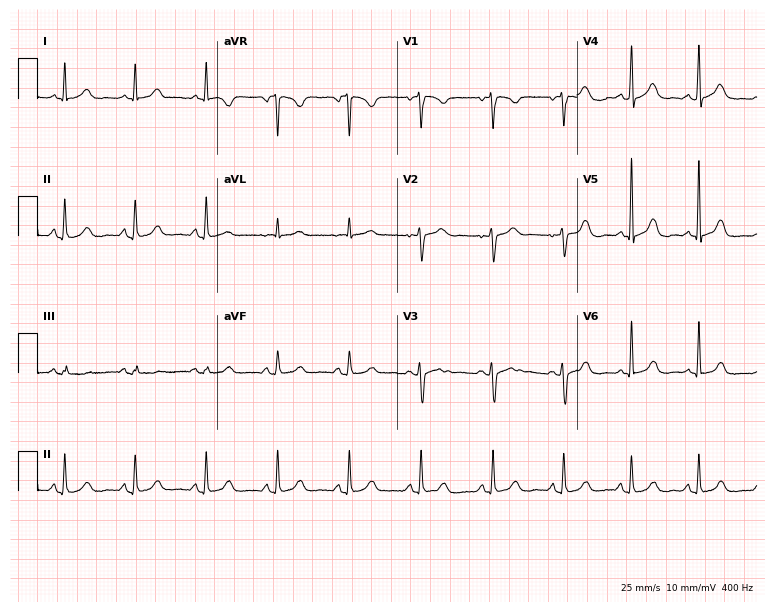
Standard 12-lead ECG recorded from a woman, 58 years old (7.3-second recording at 400 Hz). Read as a normal ECG.